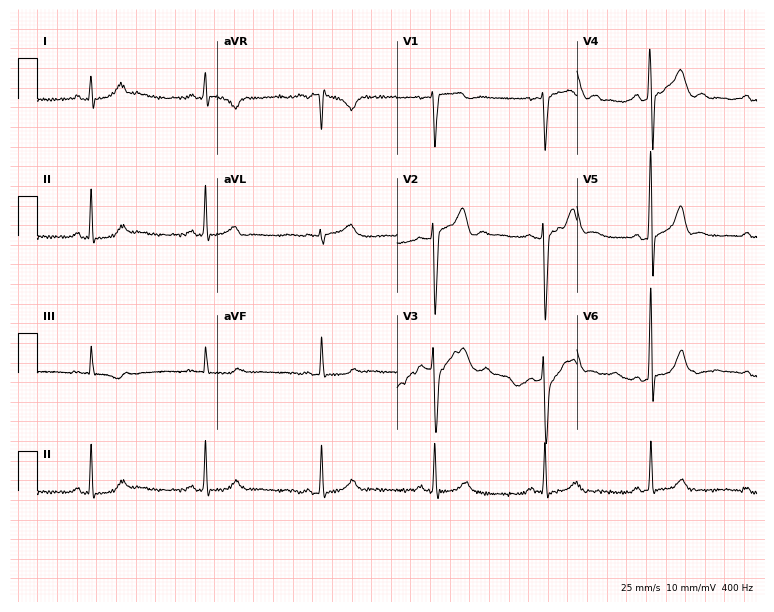
ECG — a 42-year-old male patient. Screened for six findings — first-degree AV block, right bundle branch block, left bundle branch block, sinus bradycardia, atrial fibrillation, sinus tachycardia — none is recorded.